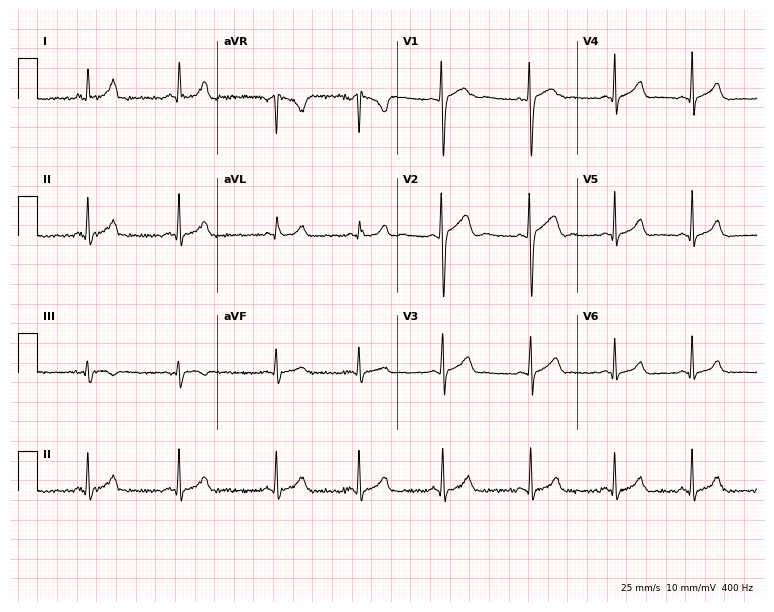
Standard 12-lead ECG recorded from a 25-year-old female patient (7.3-second recording at 400 Hz). None of these six findings is recorded: first-degree AV block, right bundle branch block, left bundle branch block, sinus bradycardia, atrial fibrillation, sinus tachycardia. Findings outside these six are not listed.